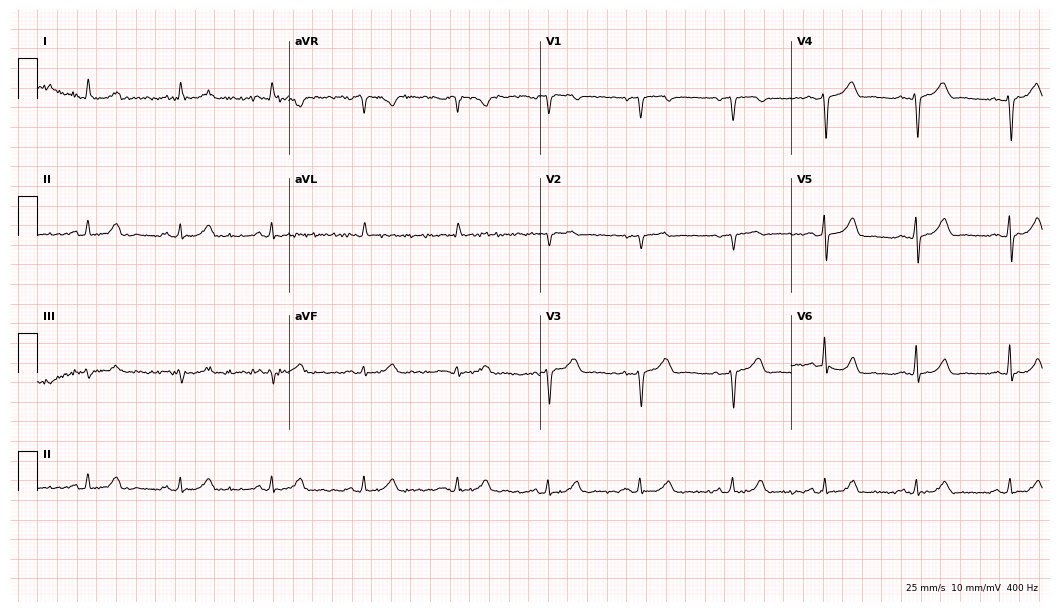
ECG (10.2-second recording at 400 Hz) — a 59-year-old female patient. Screened for six findings — first-degree AV block, right bundle branch block (RBBB), left bundle branch block (LBBB), sinus bradycardia, atrial fibrillation (AF), sinus tachycardia — none is recorded.